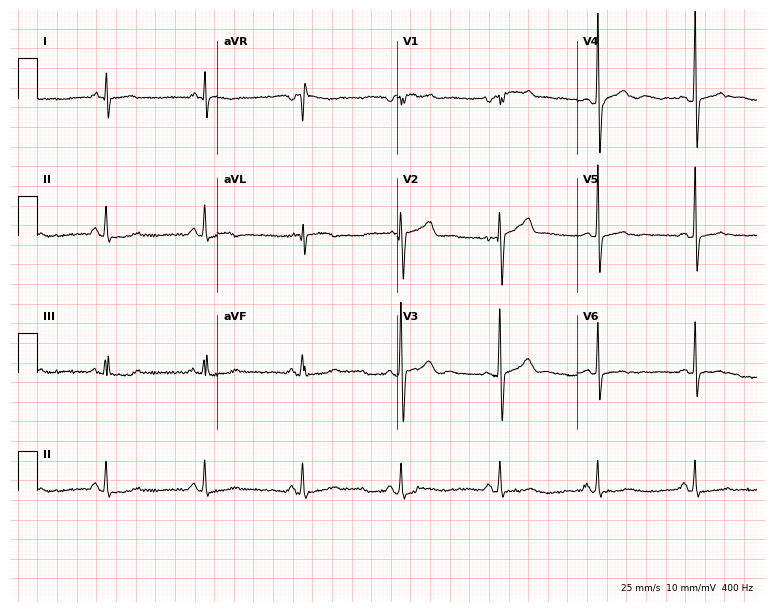
Electrocardiogram, a 53-year-old man. Of the six screened findings (first-degree AV block, right bundle branch block, left bundle branch block, sinus bradycardia, atrial fibrillation, sinus tachycardia), none is recorded. Other findings, if any, are not listed.